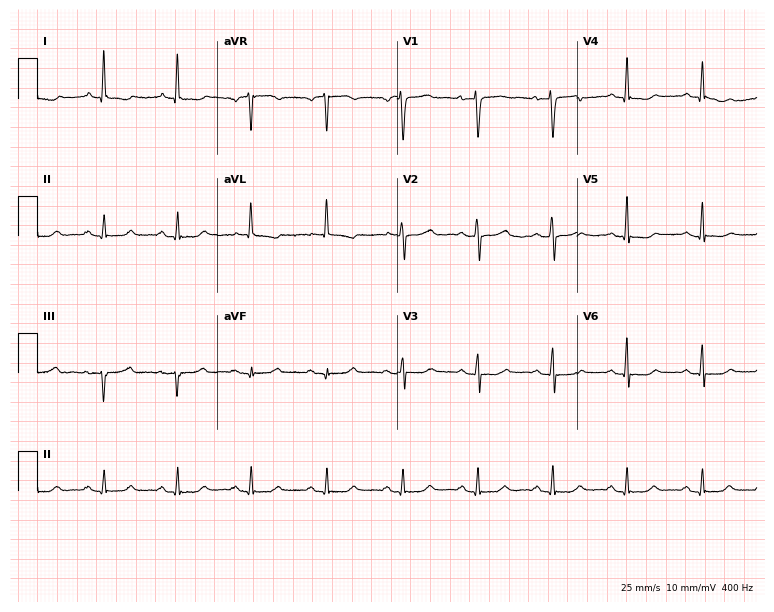
12-lead ECG from a 51-year-old female patient. No first-degree AV block, right bundle branch block (RBBB), left bundle branch block (LBBB), sinus bradycardia, atrial fibrillation (AF) or sinus tachycardia recorded for this tracing. Other findings, if any, are not listed.